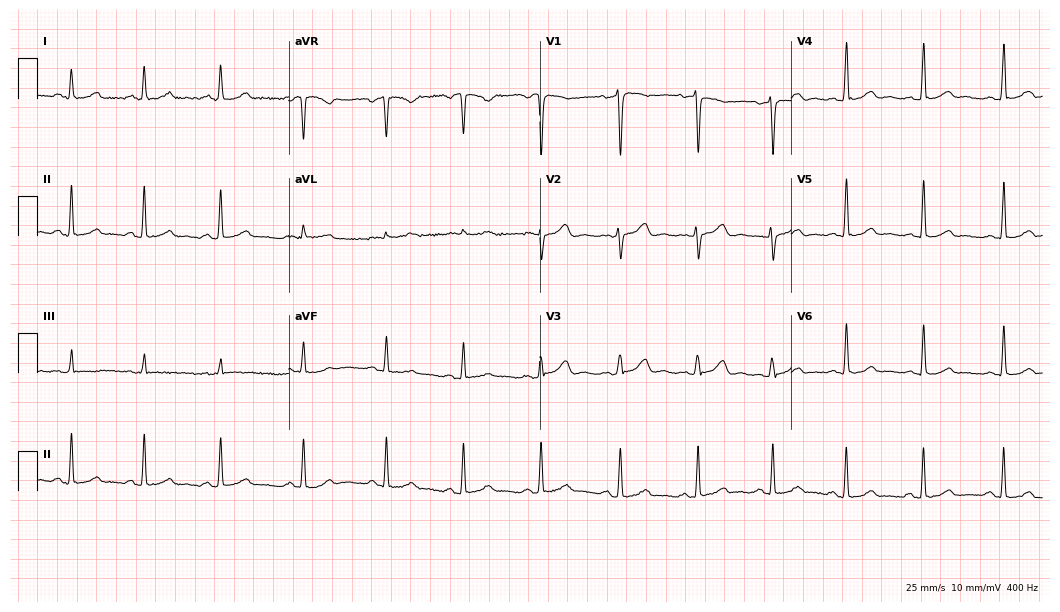
12-lead ECG from a 41-year-old female patient (10.2-second recording at 400 Hz). Recorded interpretation: within normal limits.